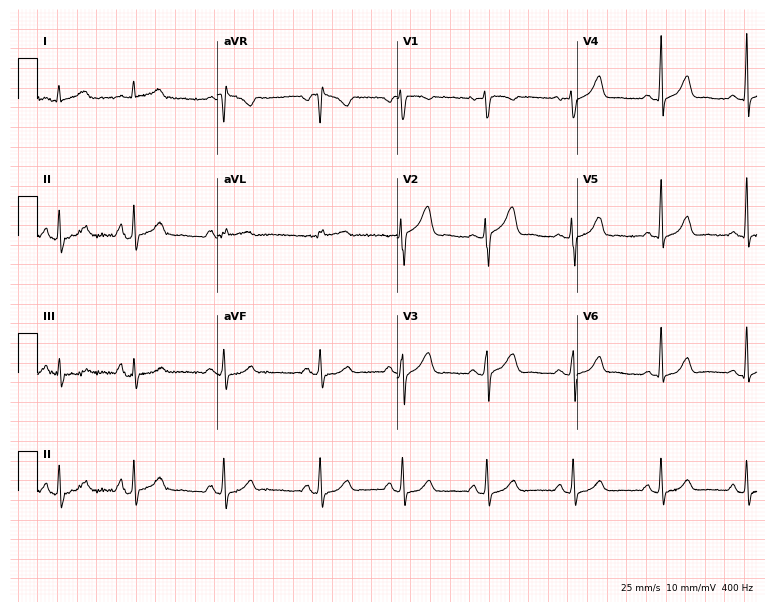
12-lead ECG from a 48-year-old woman. Labelled as a normal ECG.